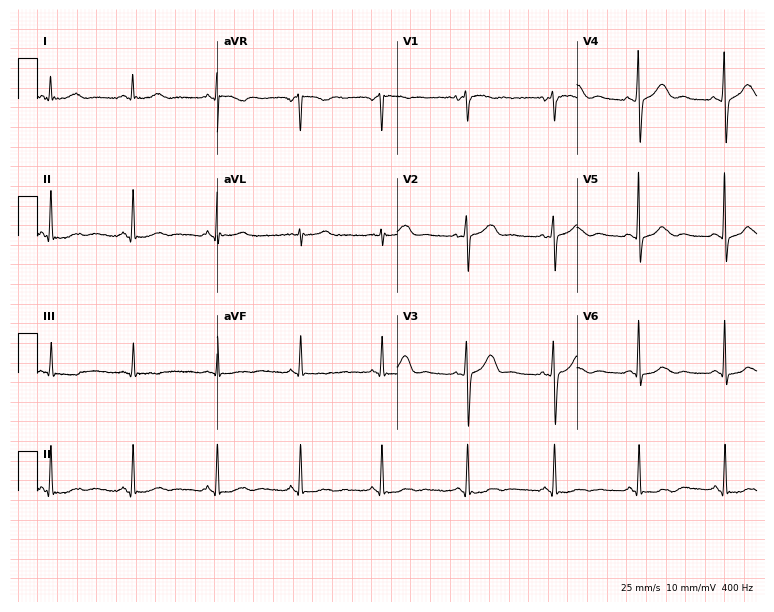
Resting 12-lead electrocardiogram (7.3-second recording at 400 Hz). Patient: a 54-year-old woman. None of these six findings is recorded: first-degree AV block, right bundle branch block (RBBB), left bundle branch block (LBBB), sinus bradycardia, atrial fibrillation (AF), sinus tachycardia.